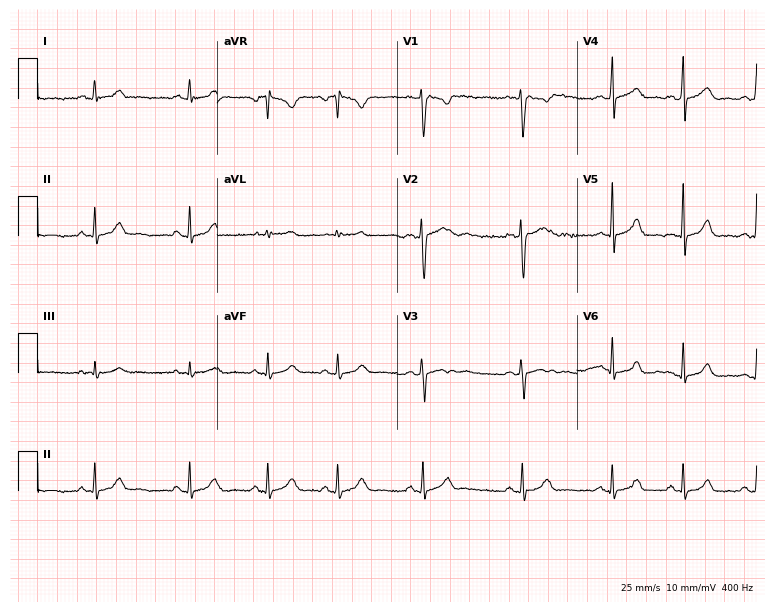
Standard 12-lead ECG recorded from a female patient, 19 years old (7.3-second recording at 400 Hz). None of these six findings is recorded: first-degree AV block, right bundle branch block, left bundle branch block, sinus bradycardia, atrial fibrillation, sinus tachycardia. Other findings, if any, are not listed.